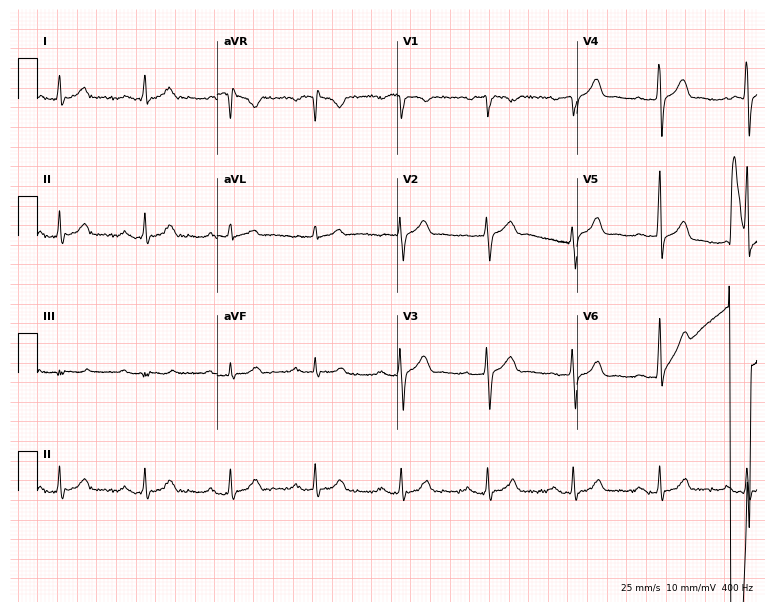
12-lead ECG from a 65-year-old male (7.3-second recording at 400 Hz). No first-degree AV block, right bundle branch block (RBBB), left bundle branch block (LBBB), sinus bradycardia, atrial fibrillation (AF) or sinus tachycardia recorded for this tracing. Other findings, if any, are not listed.